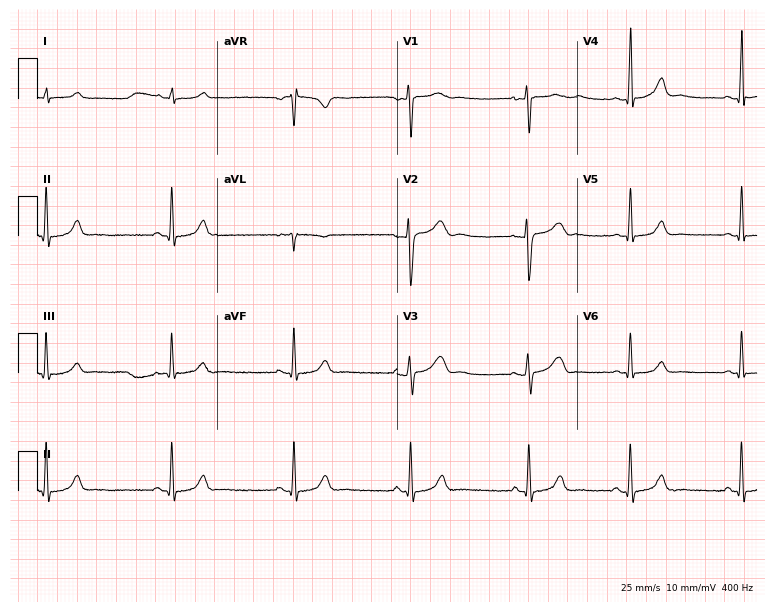
Standard 12-lead ECG recorded from a 19-year-old female patient (7.3-second recording at 400 Hz). None of these six findings is recorded: first-degree AV block, right bundle branch block (RBBB), left bundle branch block (LBBB), sinus bradycardia, atrial fibrillation (AF), sinus tachycardia.